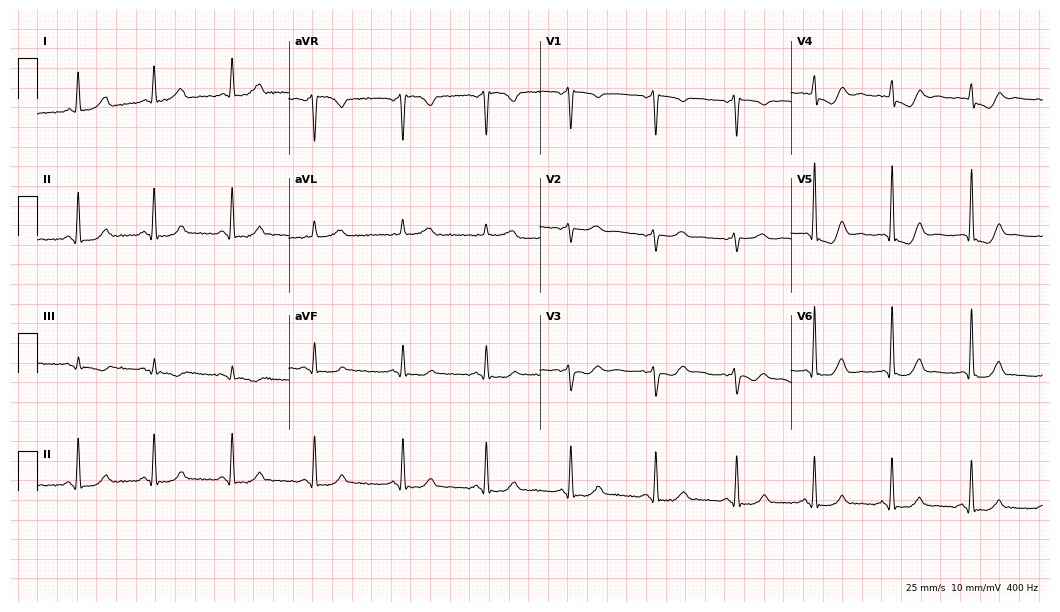
Electrocardiogram (10.2-second recording at 400 Hz), a 41-year-old female. Of the six screened findings (first-degree AV block, right bundle branch block, left bundle branch block, sinus bradycardia, atrial fibrillation, sinus tachycardia), none is recorded.